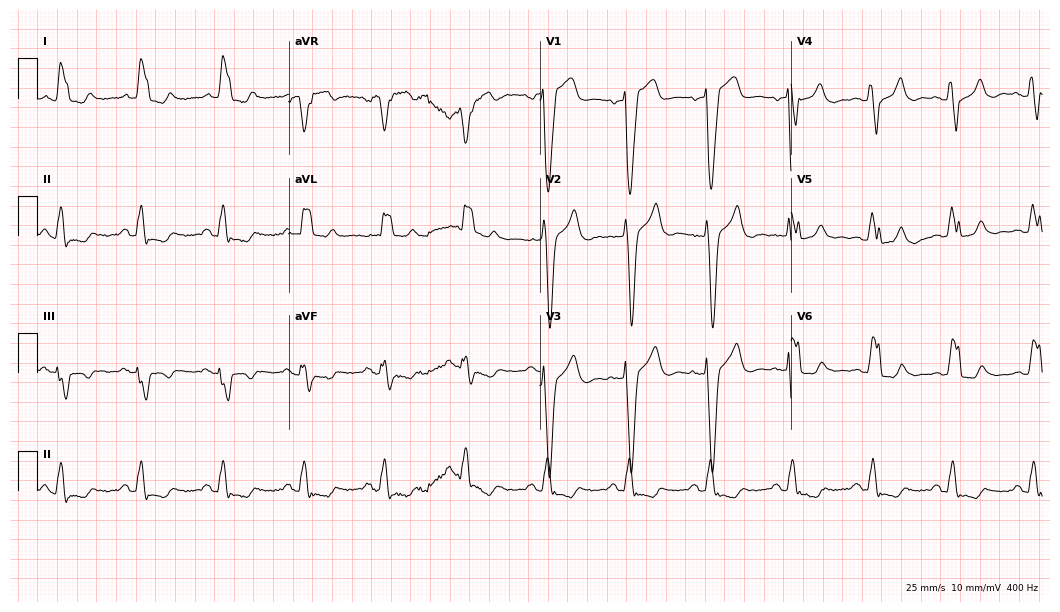
Resting 12-lead electrocardiogram. Patient: a male, 67 years old. The tracing shows left bundle branch block (LBBB).